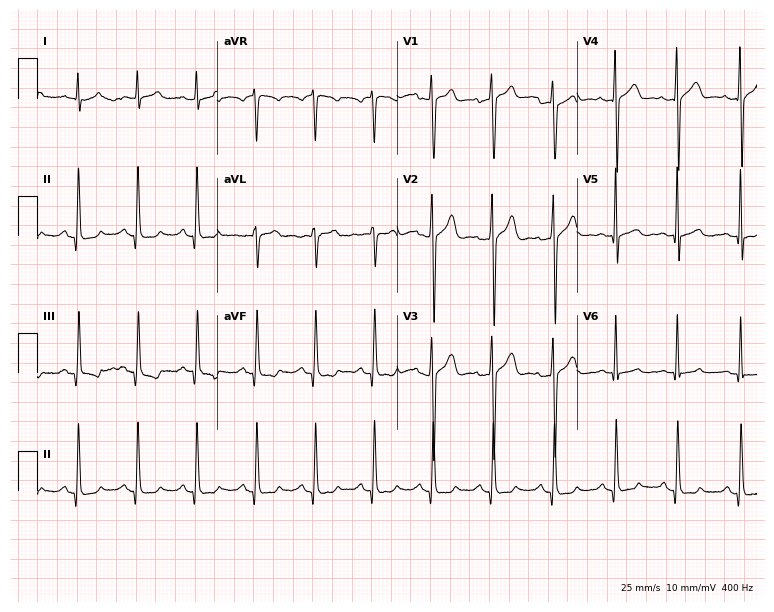
12-lead ECG from a 38-year-old male (7.3-second recording at 400 Hz). No first-degree AV block, right bundle branch block, left bundle branch block, sinus bradycardia, atrial fibrillation or sinus tachycardia recorded for this tracing.